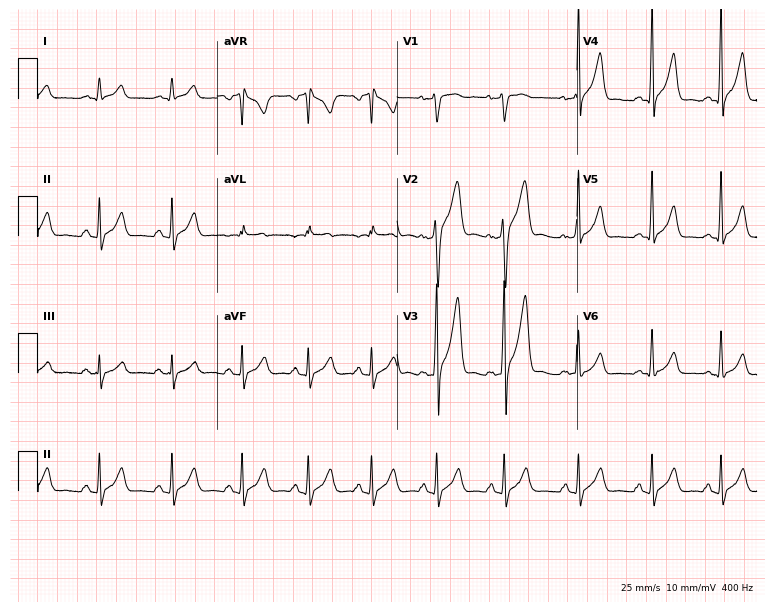
Electrocardiogram (7.3-second recording at 400 Hz), a 25-year-old male. Of the six screened findings (first-degree AV block, right bundle branch block, left bundle branch block, sinus bradycardia, atrial fibrillation, sinus tachycardia), none is recorded.